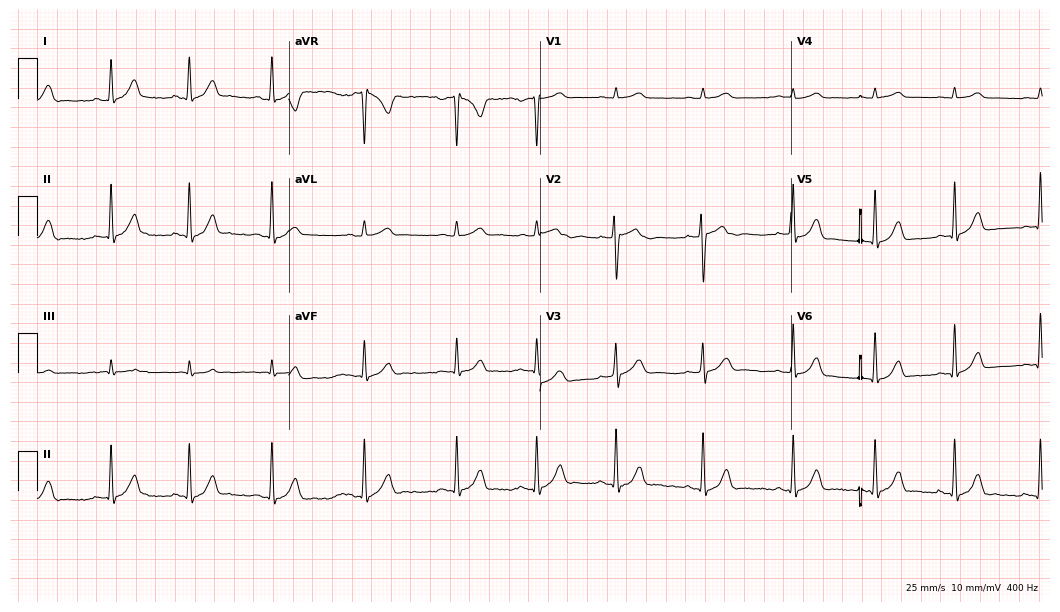
Resting 12-lead electrocardiogram (10.2-second recording at 400 Hz). Patient: a woman, 21 years old. None of these six findings is recorded: first-degree AV block, right bundle branch block (RBBB), left bundle branch block (LBBB), sinus bradycardia, atrial fibrillation (AF), sinus tachycardia. Only these six findings were labelled.